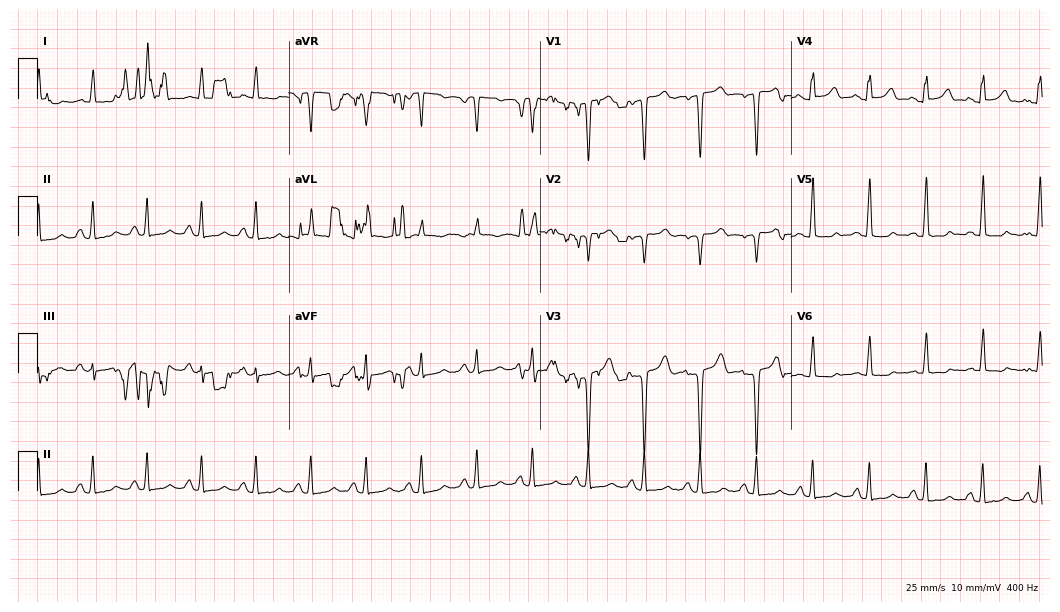
12-lead ECG from a 55-year-old woman. Screened for six findings — first-degree AV block, right bundle branch block (RBBB), left bundle branch block (LBBB), sinus bradycardia, atrial fibrillation (AF), sinus tachycardia — none is recorded.